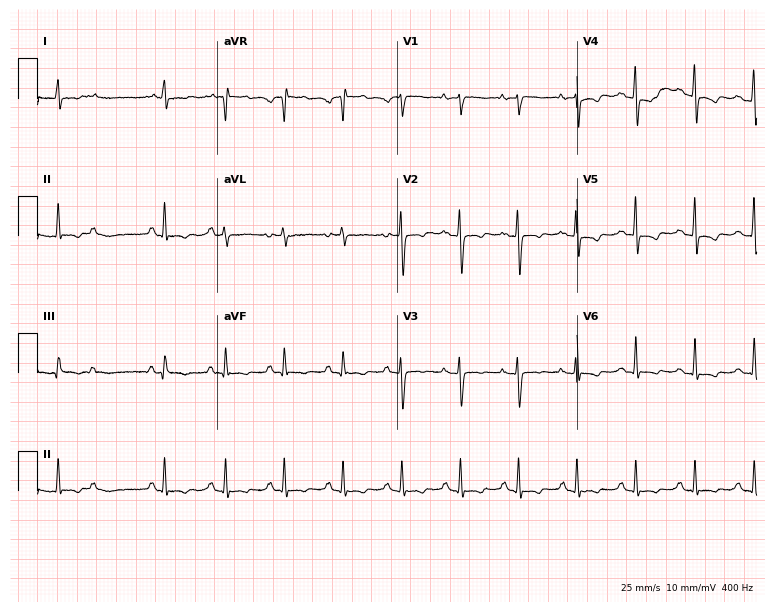
Standard 12-lead ECG recorded from a female patient, 24 years old (7.3-second recording at 400 Hz). None of these six findings is recorded: first-degree AV block, right bundle branch block, left bundle branch block, sinus bradycardia, atrial fibrillation, sinus tachycardia. Only these six findings were labelled.